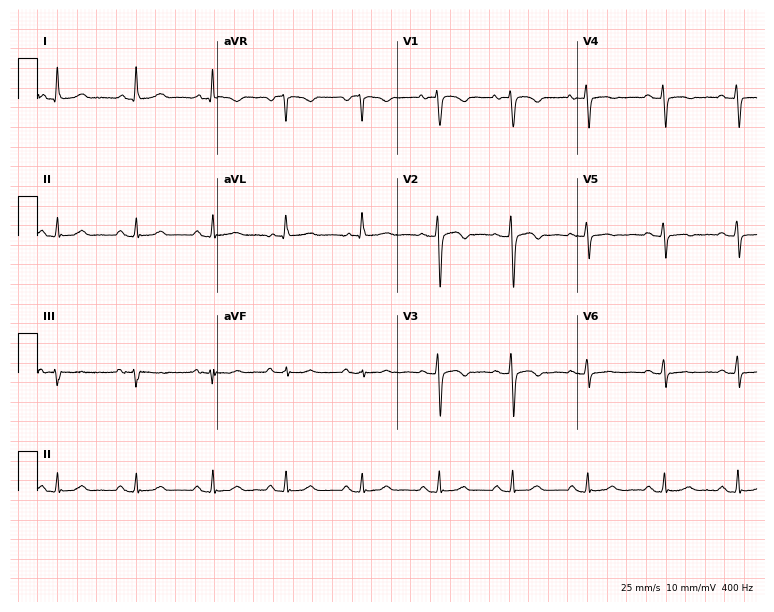
Electrocardiogram, a 49-year-old woman. Of the six screened findings (first-degree AV block, right bundle branch block, left bundle branch block, sinus bradycardia, atrial fibrillation, sinus tachycardia), none is recorded.